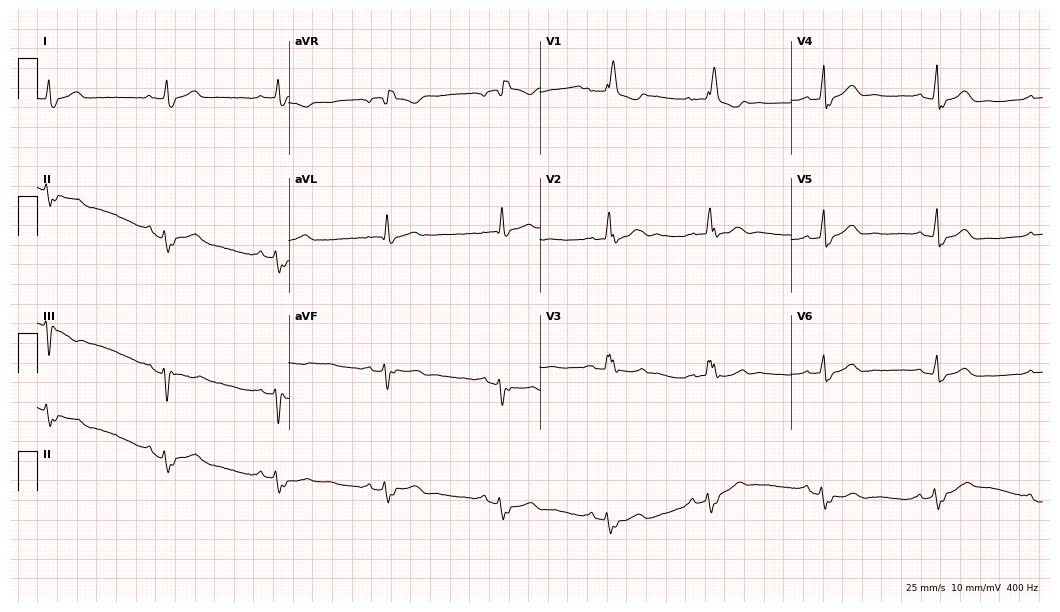
Standard 12-lead ECG recorded from a female patient, 83 years old (10.2-second recording at 400 Hz). The tracing shows right bundle branch block.